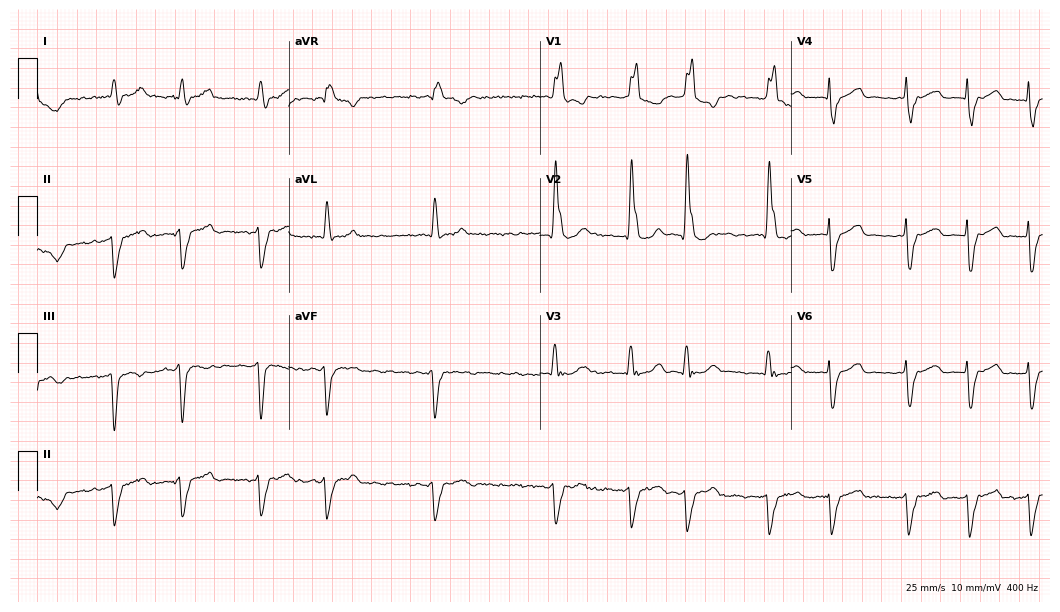
Standard 12-lead ECG recorded from a 76-year-old male (10.2-second recording at 400 Hz). The tracing shows right bundle branch block, atrial fibrillation.